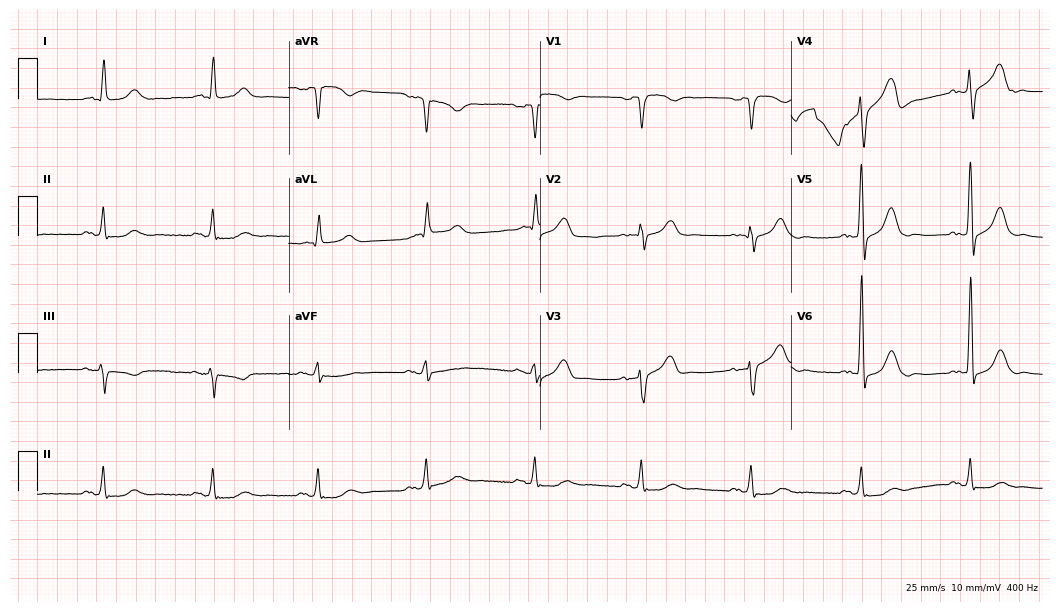
12-lead ECG from a male patient, 68 years old (10.2-second recording at 400 Hz). No first-degree AV block, right bundle branch block, left bundle branch block, sinus bradycardia, atrial fibrillation or sinus tachycardia recorded for this tracing.